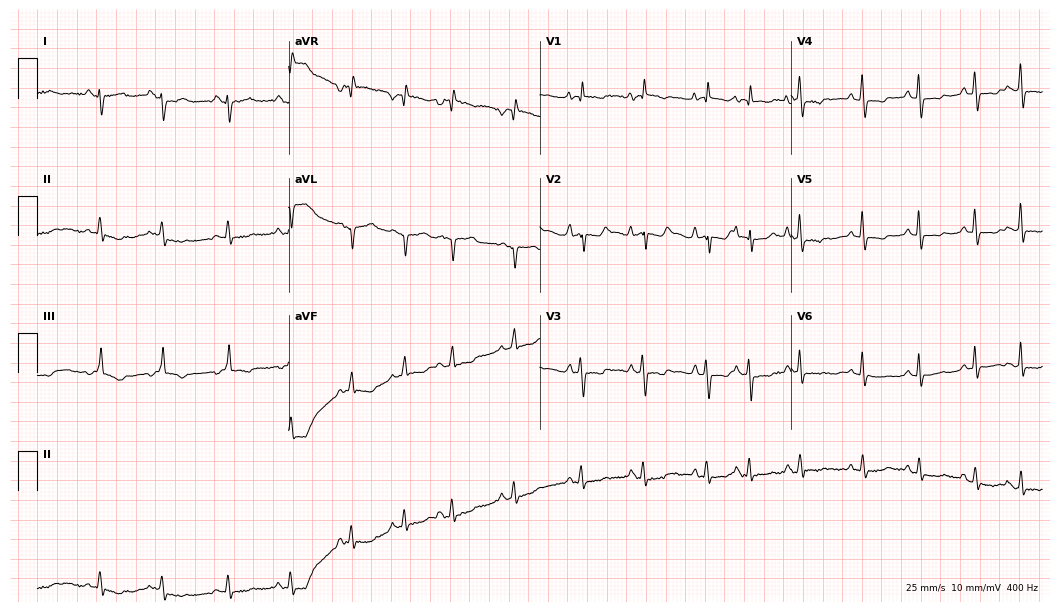
12-lead ECG from a woman, 78 years old. Screened for six findings — first-degree AV block, right bundle branch block, left bundle branch block, sinus bradycardia, atrial fibrillation, sinus tachycardia — none is recorded.